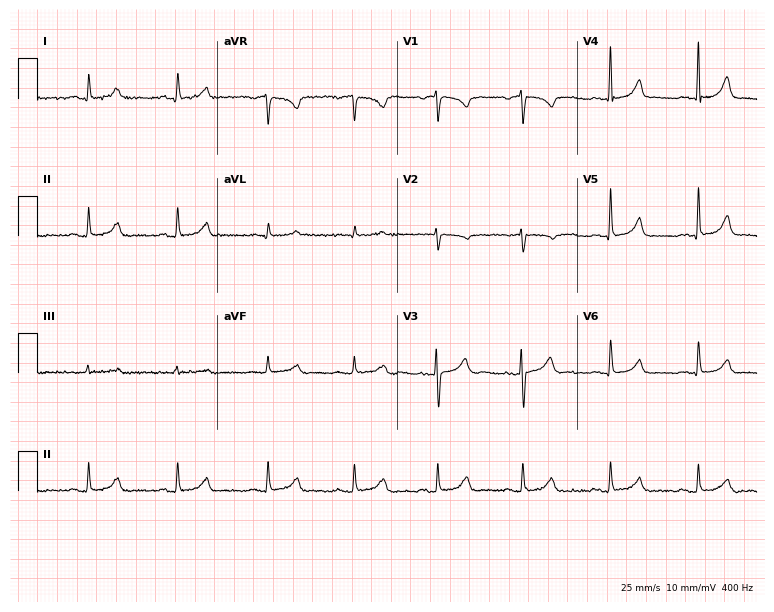
Standard 12-lead ECG recorded from a female, 41 years old. None of these six findings is recorded: first-degree AV block, right bundle branch block, left bundle branch block, sinus bradycardia, atrial fibrillation, sinus tachycardia.